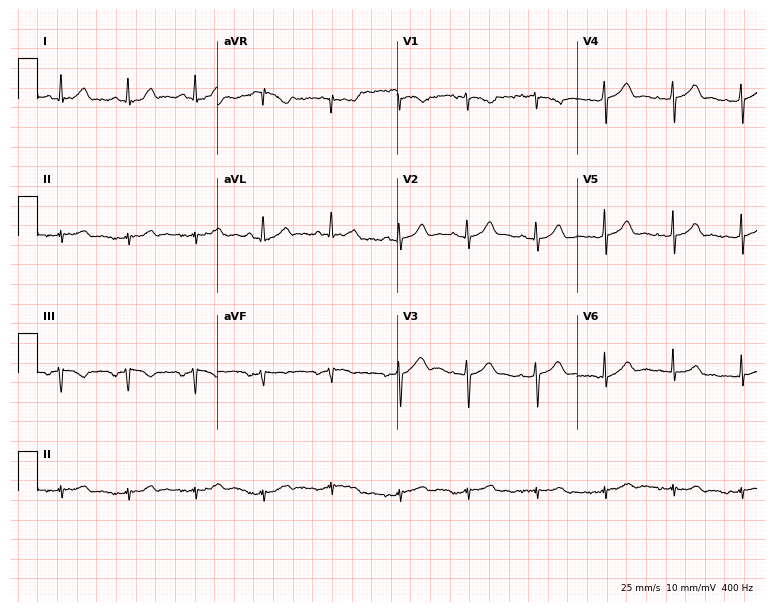
Electrocardiogram (7.3-second recording at 400 Hz), a 66-year-old woman. Of the six screened findings (first-degree AV block, right bundle branch block, left bundle branch block, sinus bradycardia, atrial fibrillation, sinus tachycardia), none is recorded.